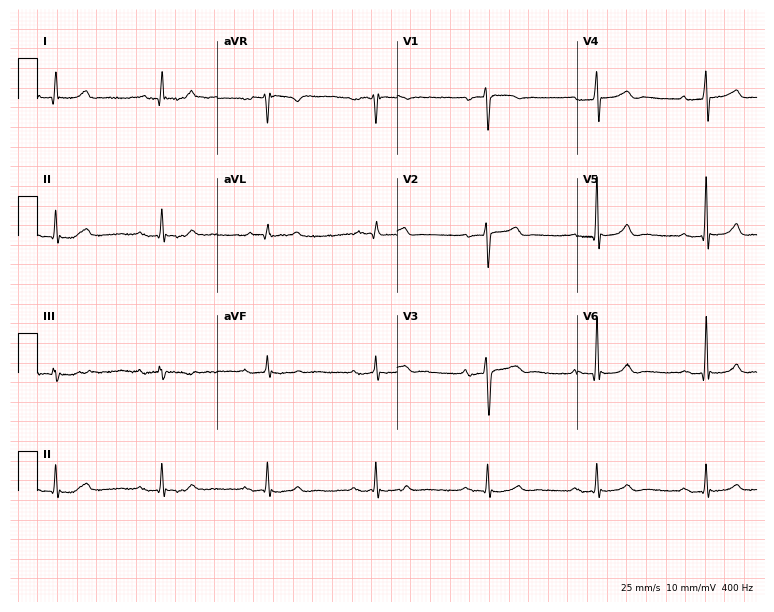
Standard 12-lead ECG recorded from a male, 67 years old (7.3-second recording at 400 Hz). Read as a normal ECG.